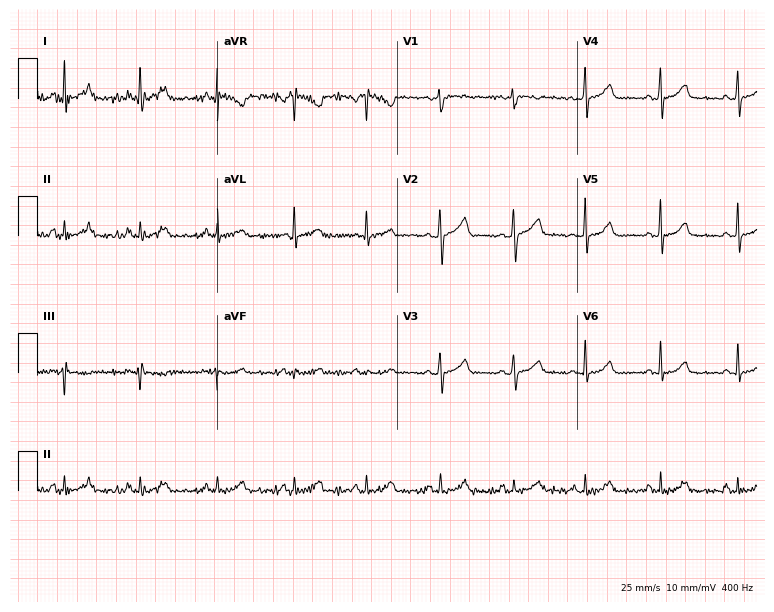
Electrocardiogram (7.3-second recording at 400 Hz), a 37-year-old female. Overall reading on record: normal ECG.